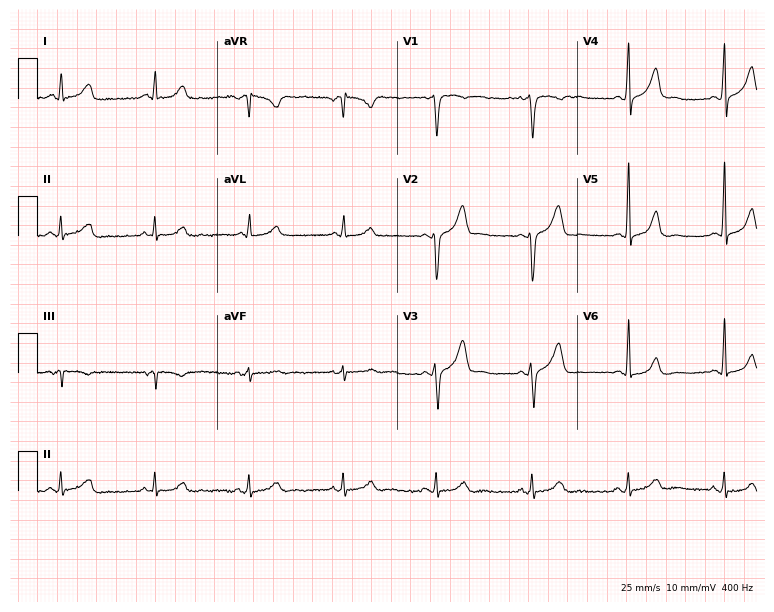
Resting 12-lead electrocardiogram. Patient: a male, 42 years old. Read as a normal ECG.